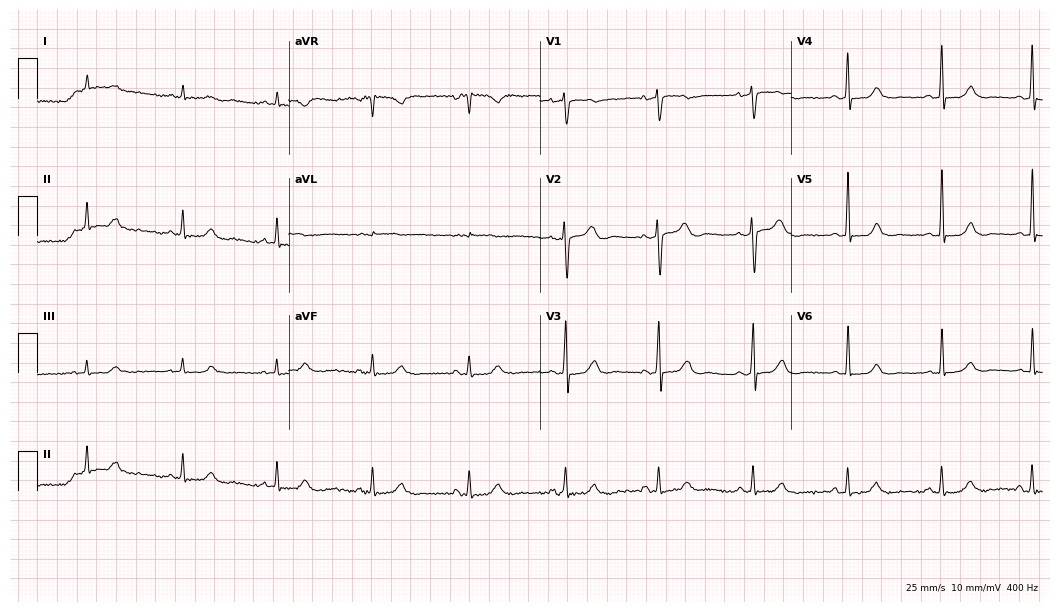
12-lead ECG (10.2-second recording at 400 Hz) from a female patient, 58 years old. Labelled as a normal ECG.